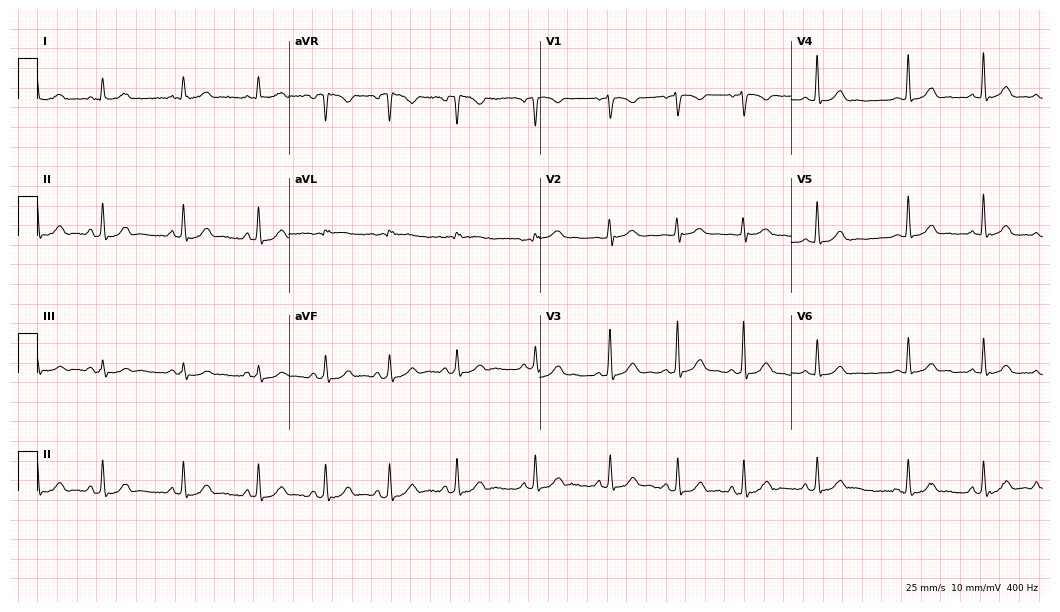
Electrocardiogram, a 25-year-old woman. Overall reading on record: normal ECG.